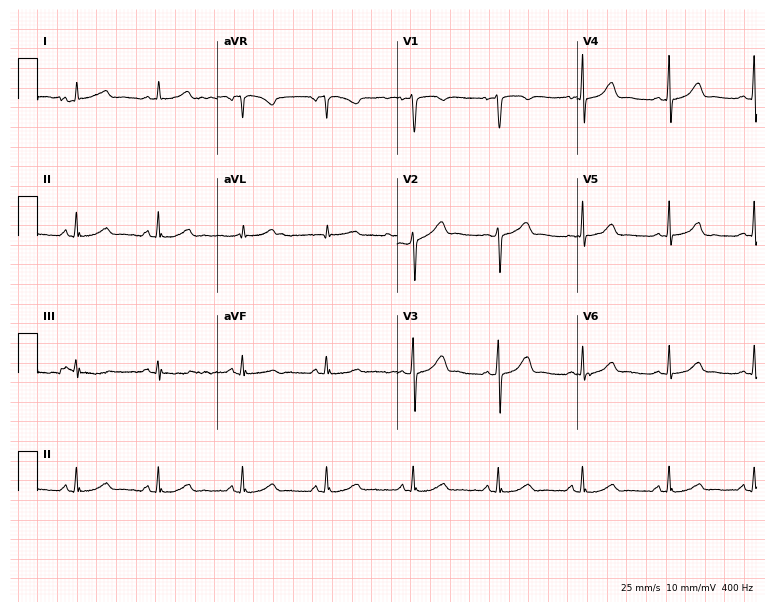
ECG — a 42-year-old female patient. Labelled as a normal ECG.